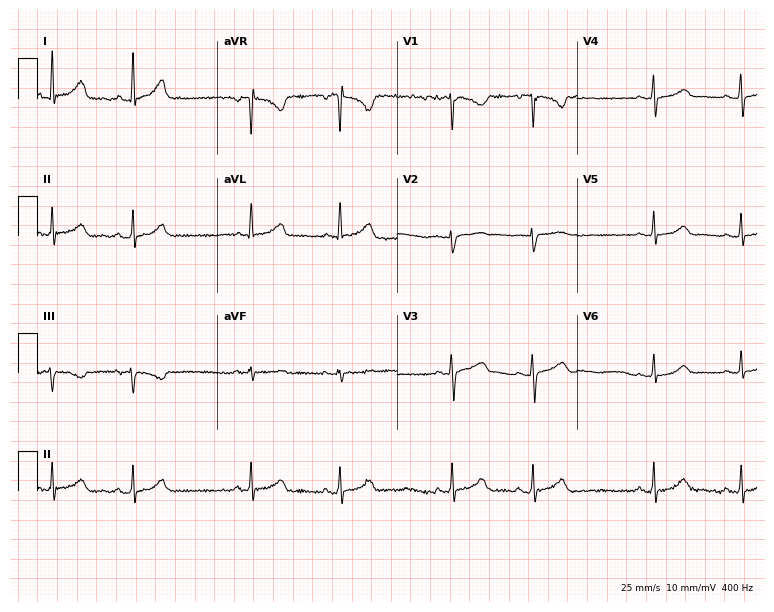
Resting 12-lead electrocardiogram. Patient: a 37-year-old woman. Read as a normal ECG.